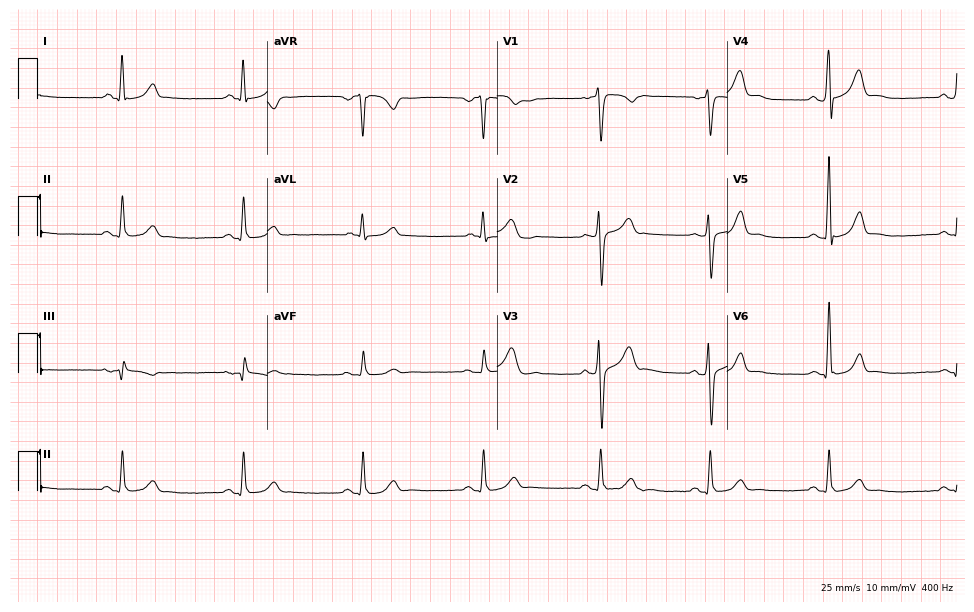
Standard 12-lead ECG recorded from a 38-year-old male. The tracing shows sinus bradycardia (a sinus rate of 50 beats per minute or less).